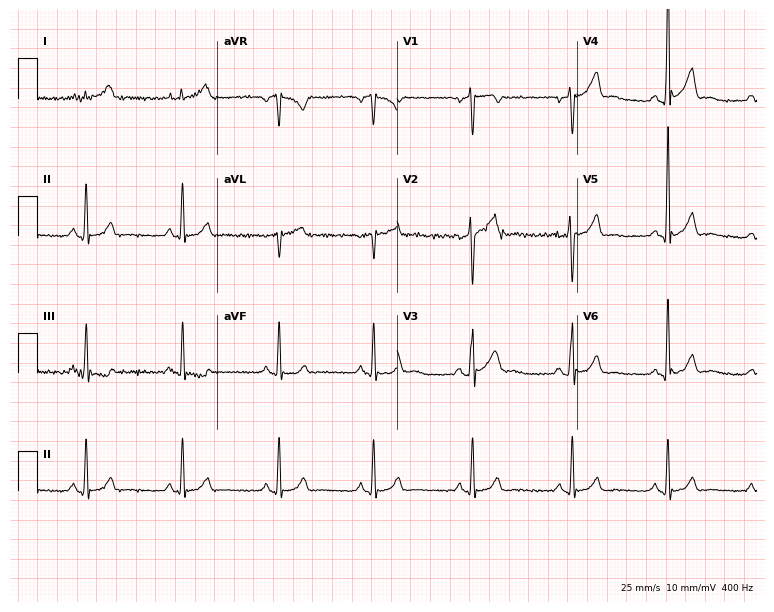
Electrocardiogram (7.3-second recording at 400 Hz), a male, 22 years old. Overall reading on record: normal ECG.